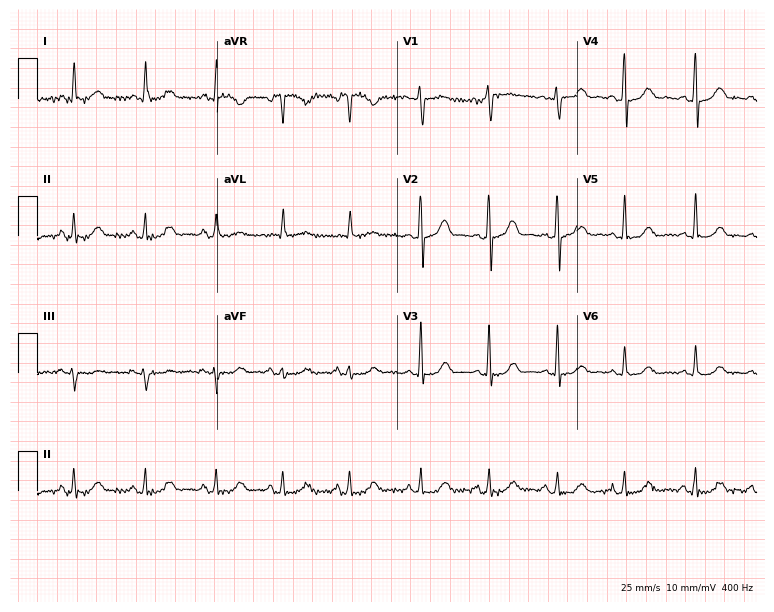
Standard 12-lead ECG recorded from a female, 63 years old. Read as a normal ECG.